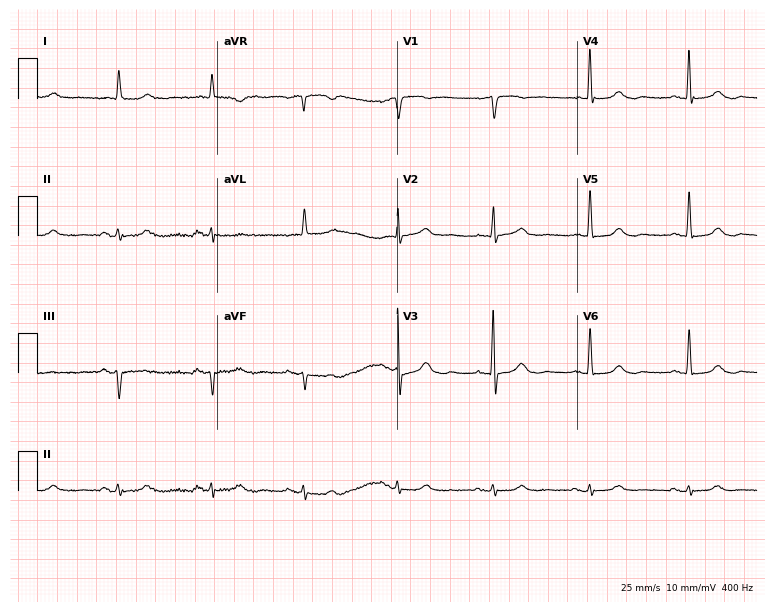
Standard 12-lead ECG recorded from a 79-year-old female patient. Read as a normal ECG.